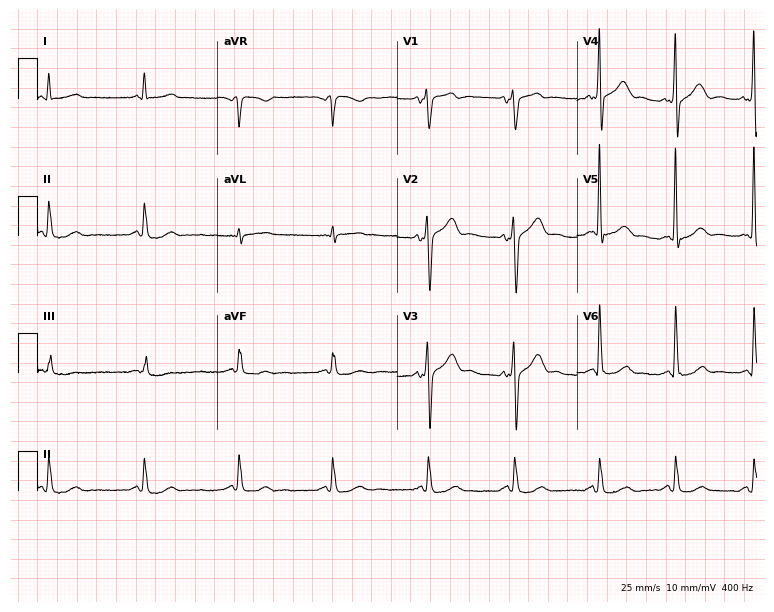
ECG — a man, 85 years old. Labelled as a normal ECG.